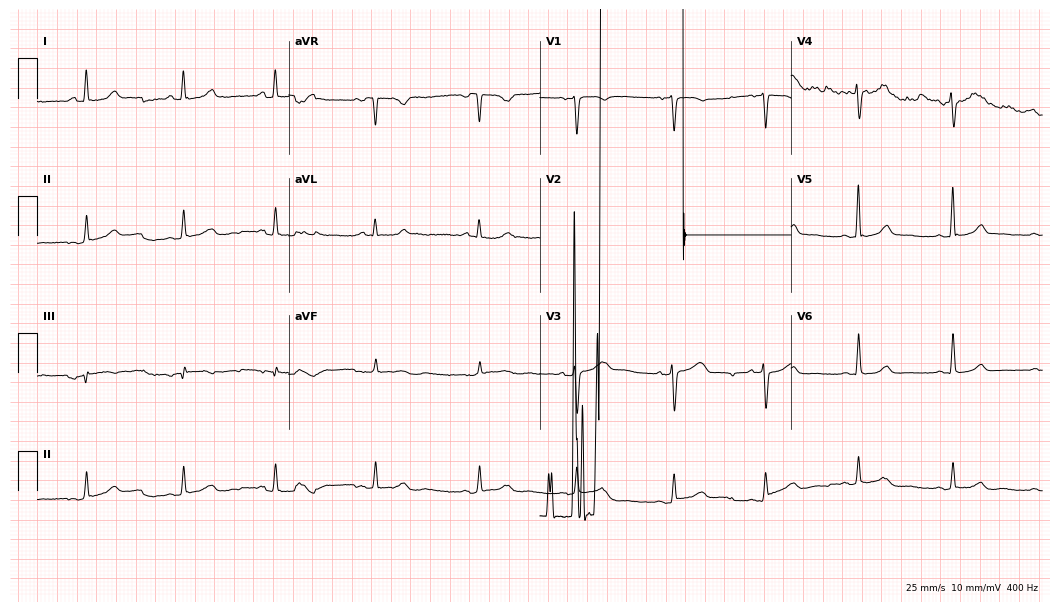
Electrocardiogram, a female patient, 52 years old. Of the six screened findings (first-degree AV block, right bundle branch block, left bundle branch block, sinus bradycardia, atrial fibrillation, sinus tachycardia), none is recorded.